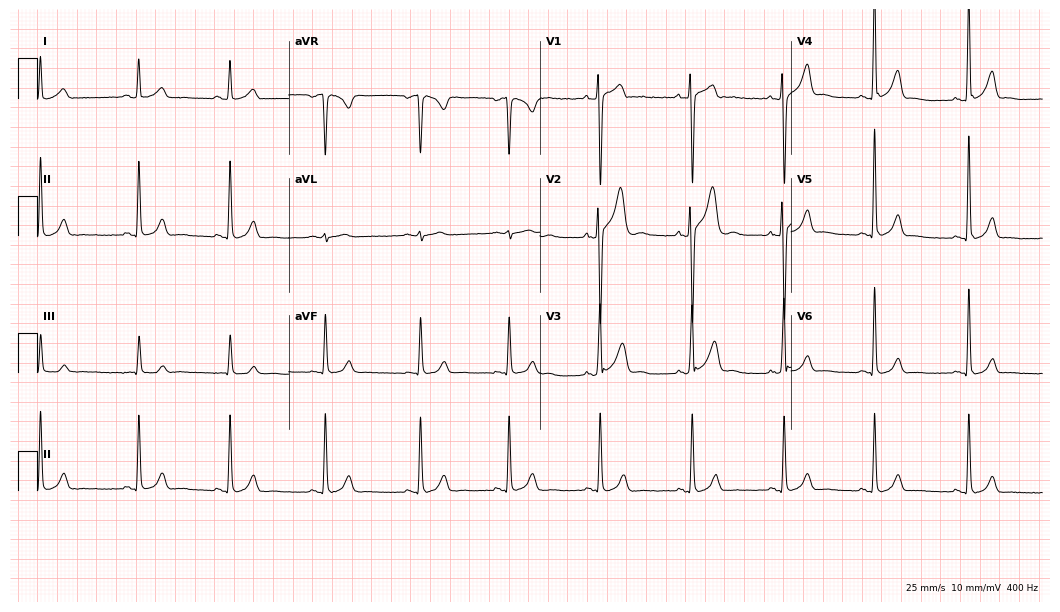
Electrocardiogram (10.2-second recording at 400 Hz), a 22-year-old male. Of the six screened findings (first-degree AV block, right bundle branch block, left bundle branch block, sinus bradycardia, atrial fibrillation, sinus tachycardia), none is recorded. Findings outside these six are not listed.